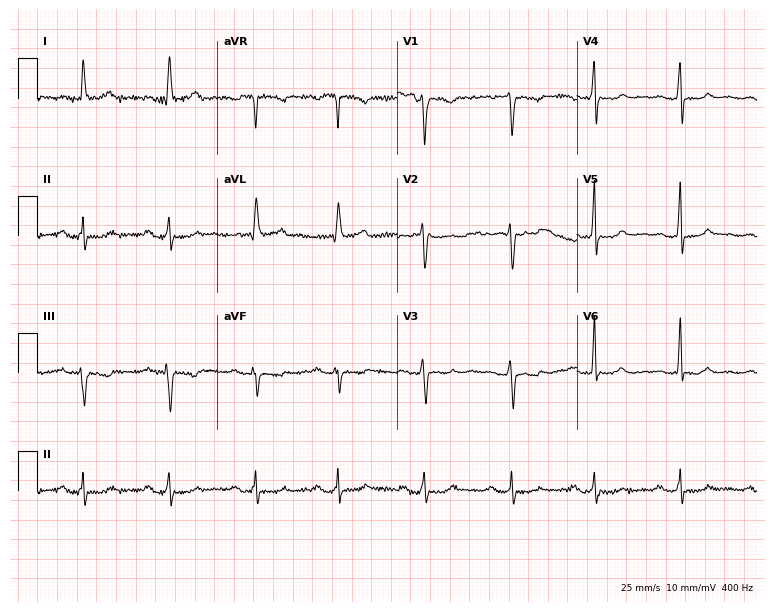
Electrocardiogram (7.3-second recording at 400 Hz), a female, 60 years old. Of the six screened findings (first-degree AV block, right bundle branch block (RBBB), left bundle branch block (LBBB), sinus bradycardia, atrial fibrillation (AF), sinus tachycardia), none is recorded.